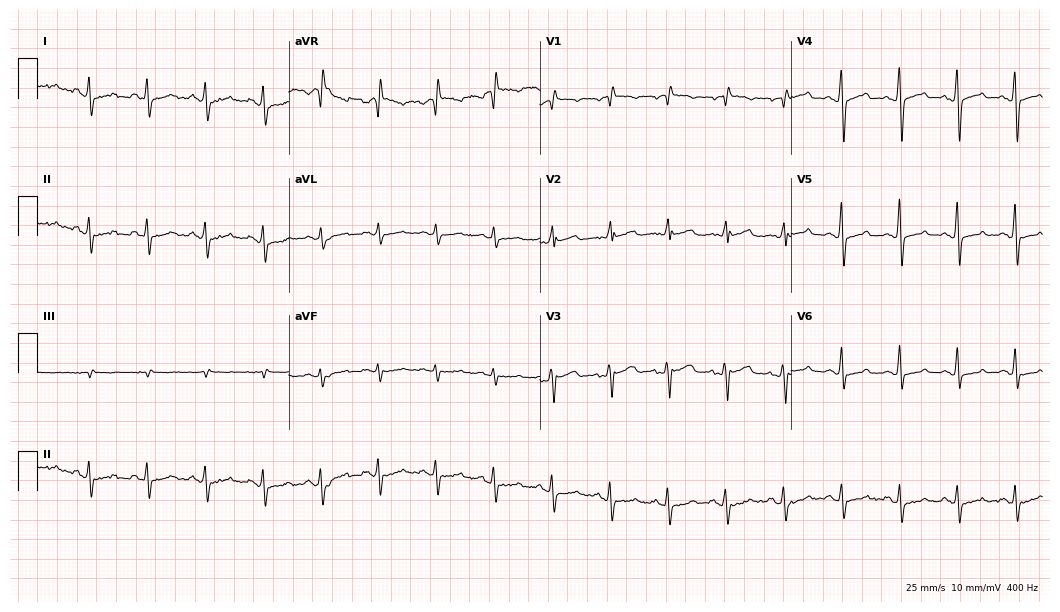
Resting 12-lead electrocardiogram (10.2-second recording at 400 Hz). Patient: a woman, 68 years old. The tracing shows sinus tachycardia (a sinus rate of 100 beats per minute or more).